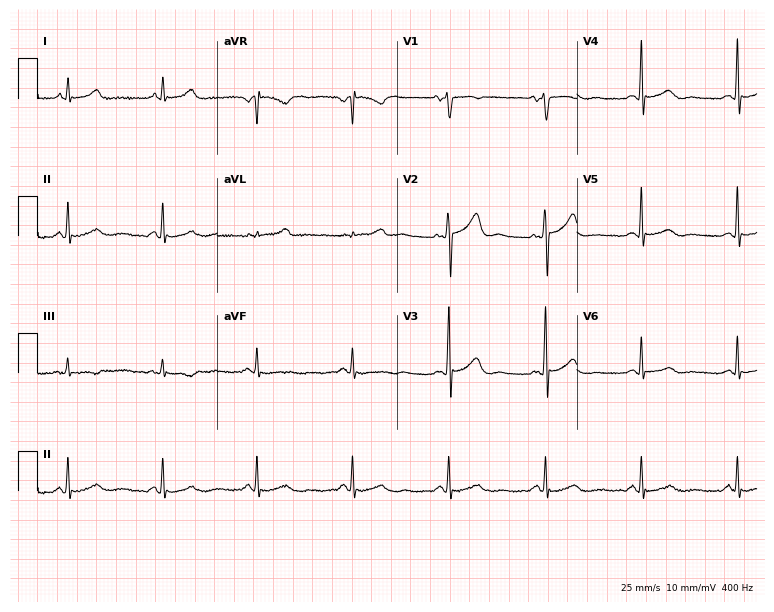
Resting 12-lead electrocardiogram (7.3-second recording at 400 Hz). Patient: a man, 55 years old. Read as a normal ECG.